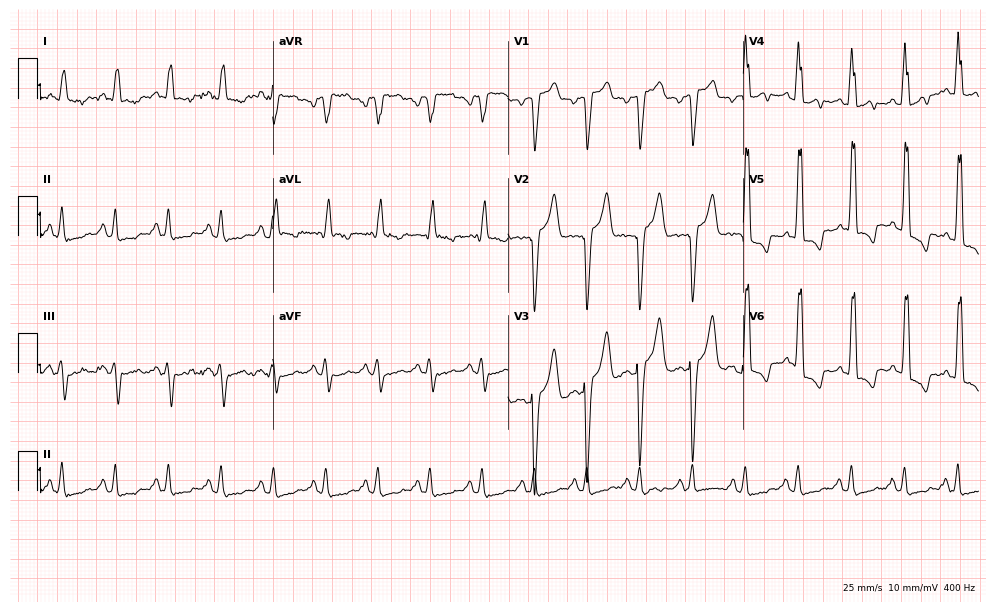
Resting 12-lead electrocardiogram. Patient: a 58-year-old male. None of these six findings is recorded: first-degree AV block, right bundle branch block, left bundle branch block, sinus bradycardia, atrial fibrillation, sinus tachycardia.